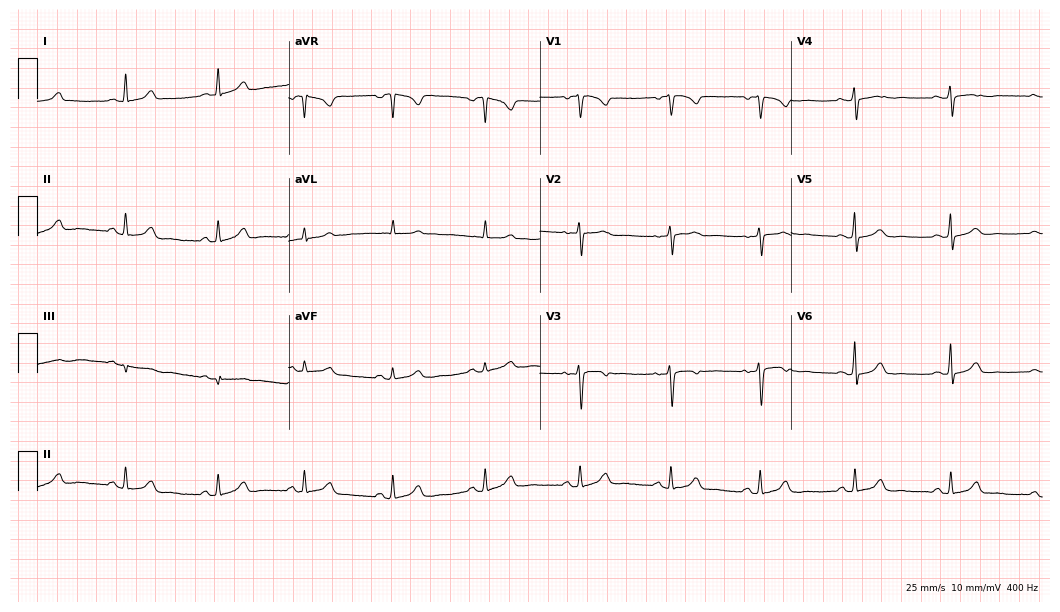
12-lead ECG from a woman, 32 years old. Labelled as a normal ECG.